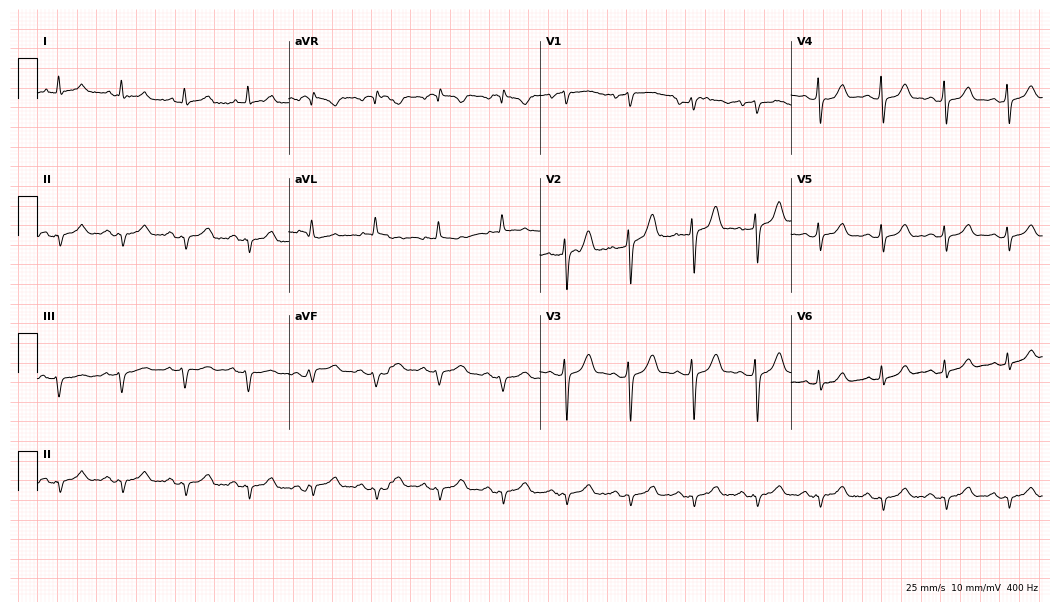
Electrocardiogram (10.2-second recording at 400 Hz), a 61-year-old male patient. Of the six screened findings (first-degree AV block, right bundle branch block (RBBB), left bundle branch block (LBBB), sinus bradycardia, atrial fibrillation (AF), sinus tachycardia), none is recorded. Other findings, if any, are not listed.